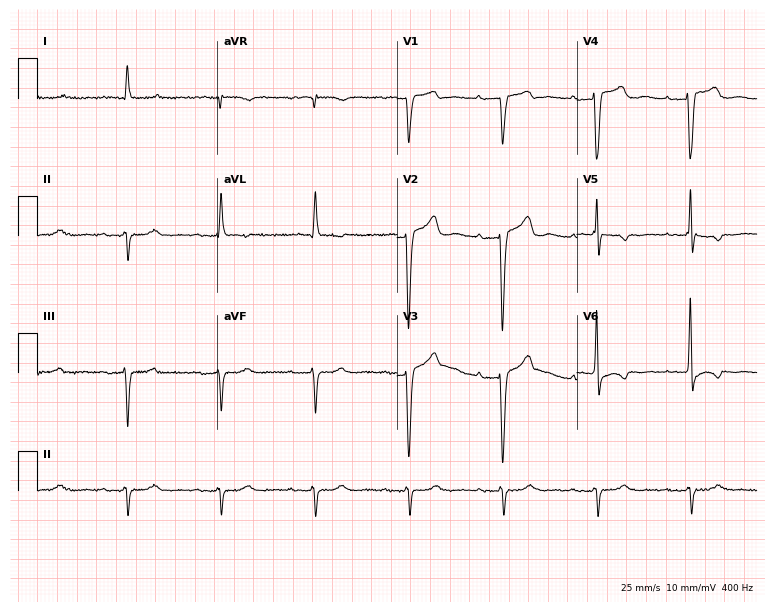
ECG — a 78-year-old man. Screened for six findings — first-degree AV block, right bundle branch block (RBBB), left bundle branch block (LBBB), sinus bradycardia, atrial fibrillation (AF), sinus tachycardia — none is recorded. Only these six findings were labelled.